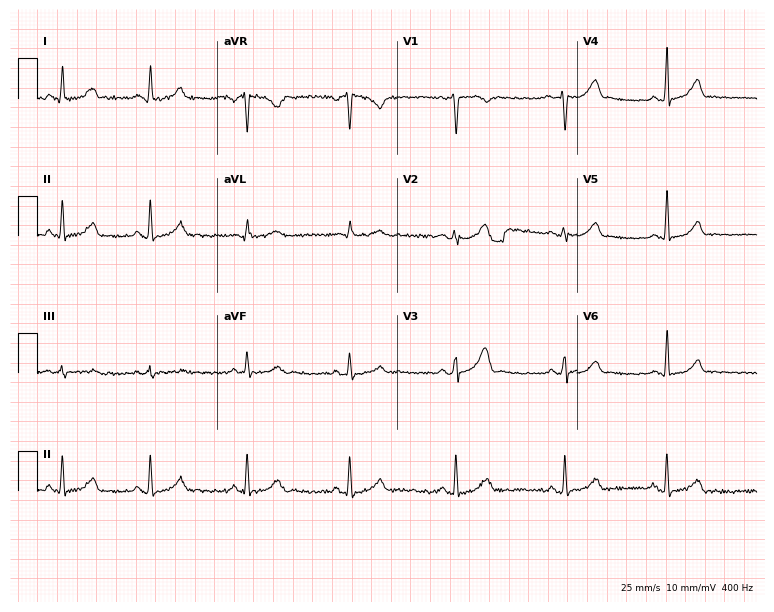
Resting 12-lead electrocardiogram. Patient: a 39-year-old female. Read as a normal ECG.